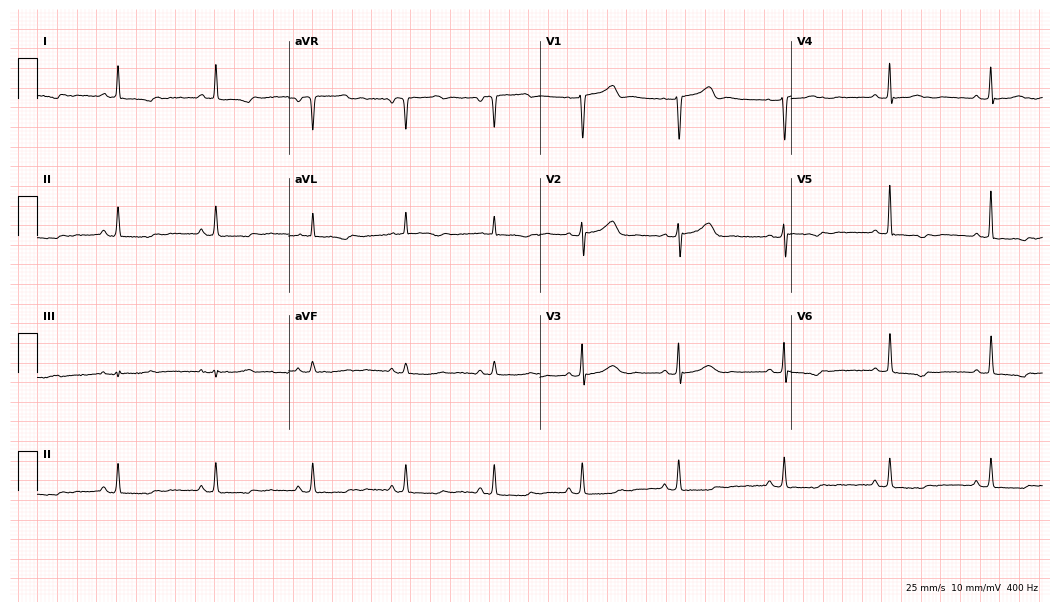
12-lead ECG from a female patient, 62 years old (10.2-second recording at 400 Hz). No first-degree AV block, right bundle branch block, left bundle branch block, sinus bradycardia, atrial fibrillation or sinus tachycardia recorded for this tracing.